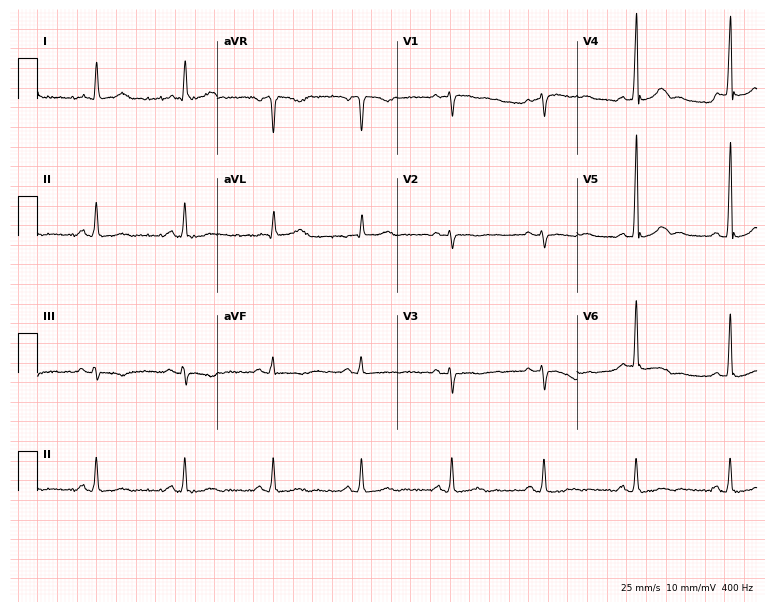
Resting 12-lead electrocardiogram (7.3-second recording at 400 Hz). Patient: a 56-year-old man. Read as a normal ECG.